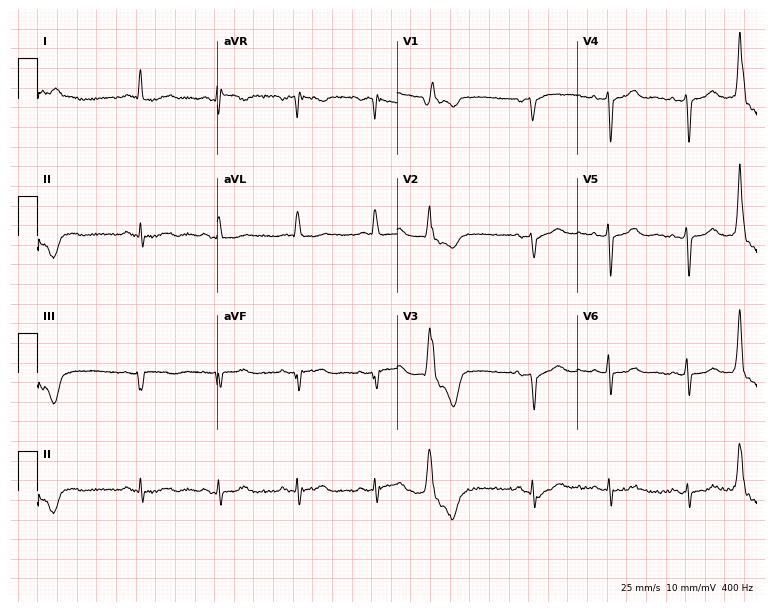
Resting 12-lead electrocardiogram (7.3-second recording at 400 Hz). Patient: a 67-year-old woman. None of these six findings is recorded: first-degree AV block, right bundle branch block, left bundle branch block, sinus bradycardia, atrial fibrillation, sinus tachycardia. Only these six findings were labelled.